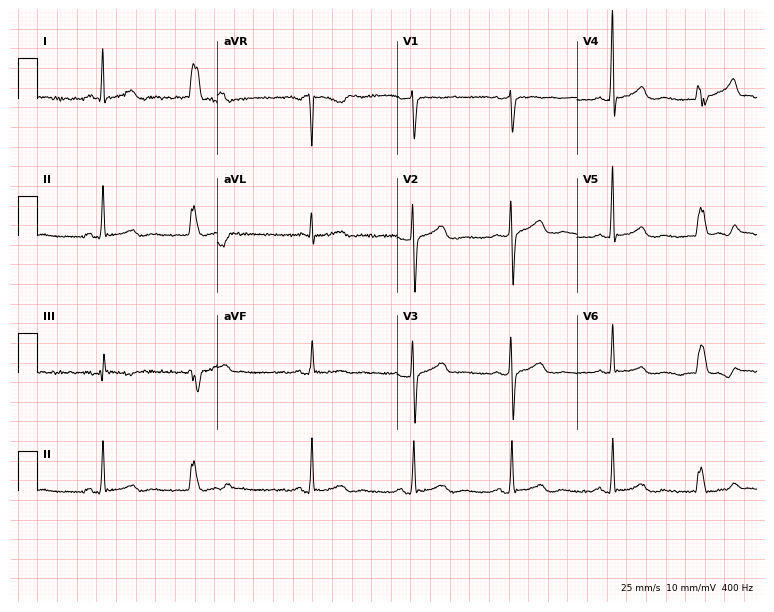
Resting 12-lead electrocardiogram. Patient: a 51-year-old female. None of these six findings is recorded: first-degree AV block, right bundle branch block, left bundle branch block, sinus bradycardia, atrial fibrillation, sinus tachycardia.